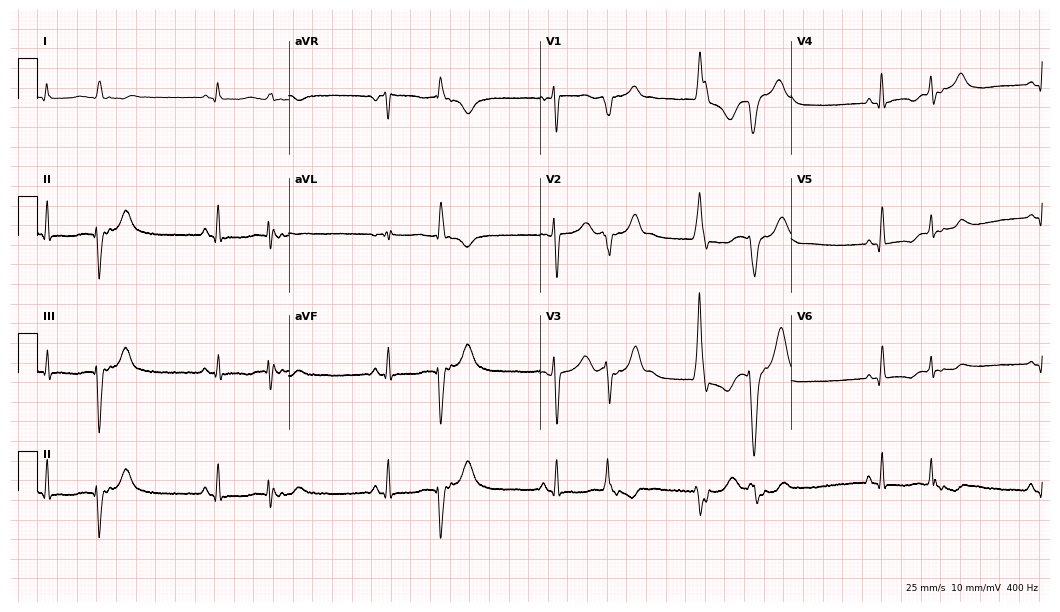
12-lead ECG (10.2-second recording at 400 Hz) from a 44-year-old female patient. Screened for six findings — first-degree AV block, right bundle branch block (RBBB), left bundle branch block (LBBB), sinus bradycardia, atrial fibrillation (AF), sinus tachycardia — none is recorded.